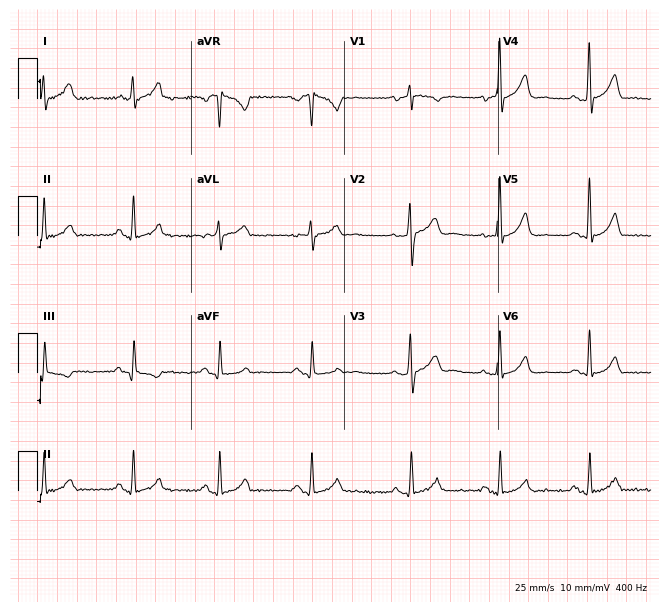
12-lead ECG from a male patient, 31 years old (6.3-second recording at 400 Hz). No first-degree AV block, right bundle branch block (RBBB), left bundle branch block (LBBB), sinus bradycardia, atrial fibrillation (AF) or sinus tachycardia recorded for this tracing. Other findings, if any, are not listed.